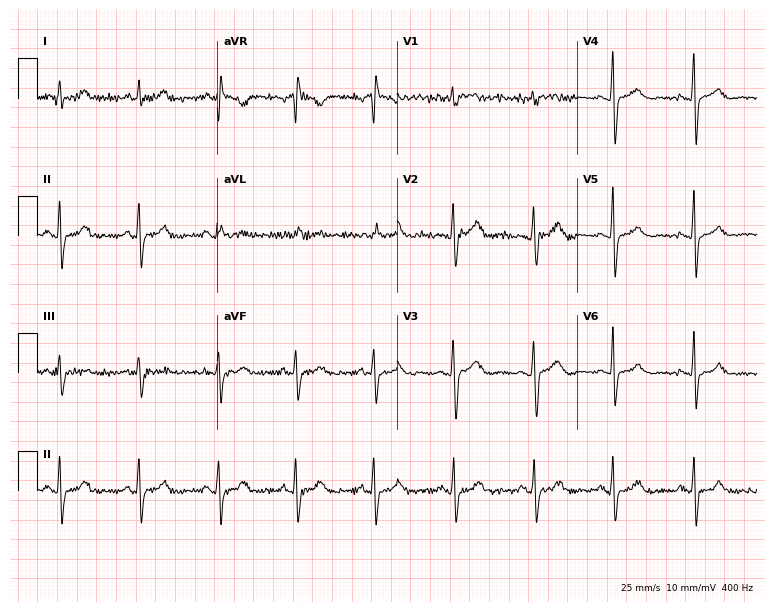
Standard 12-lead ECG recorded from a female, 27 years old. Read as a normal ECG.